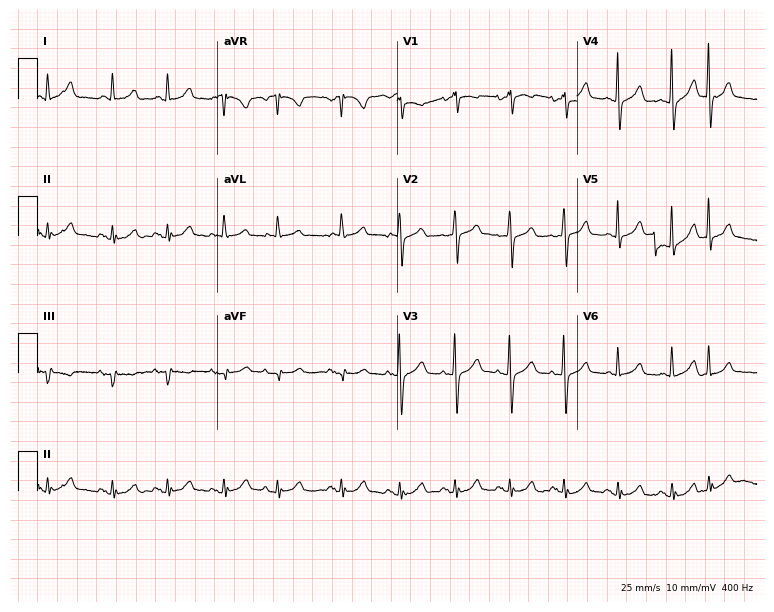
ECG — a man, 75 years old. Findings include sinus tachycardia (a sinus rate of 100 beats per minute or more).